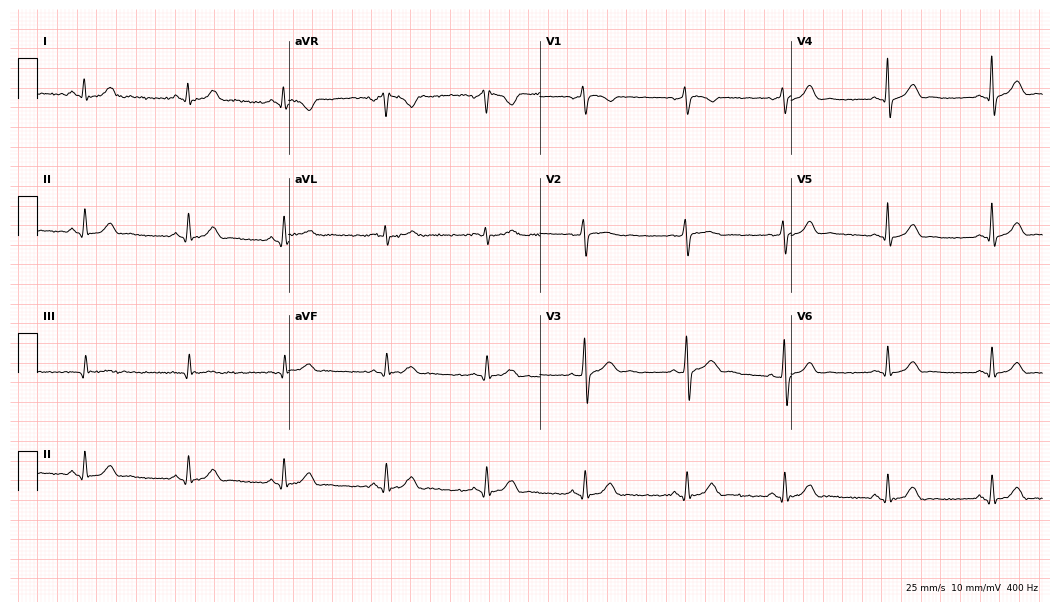
ECG (10.2-second recording at 400 Hz) — a 24-year-old male. Labelled as a normal ECG.